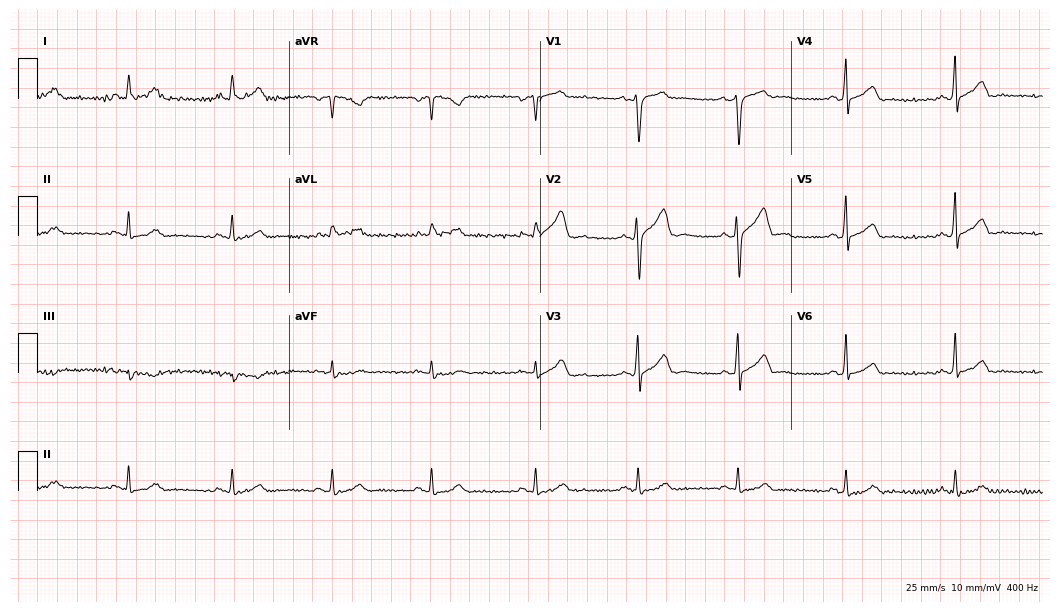
Resting 12-lead electrocardiogram (10.2-second recording at 400 Hz). Patient: a man, 50 years old. Read as a normal ECG.